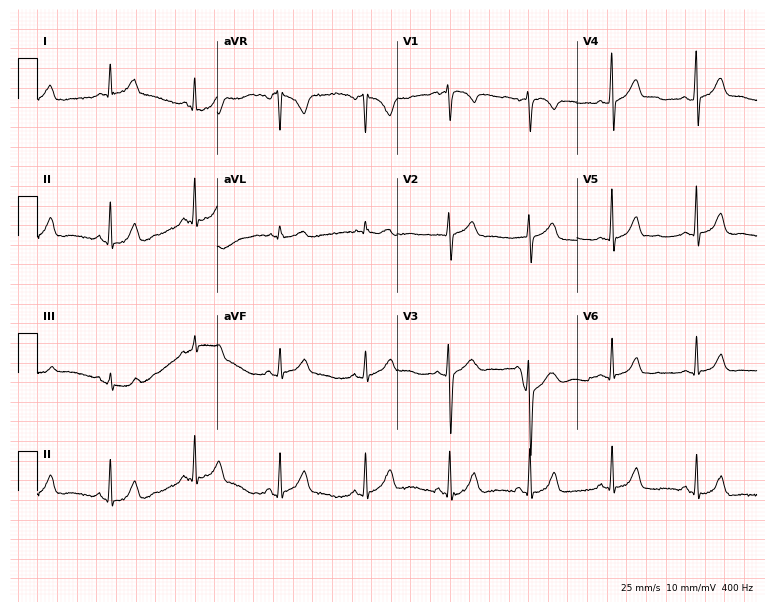
12-lead ECG (7.3-second recording at 400 Hz) from a 39-year-old woman. Labelled as a normal ECG.